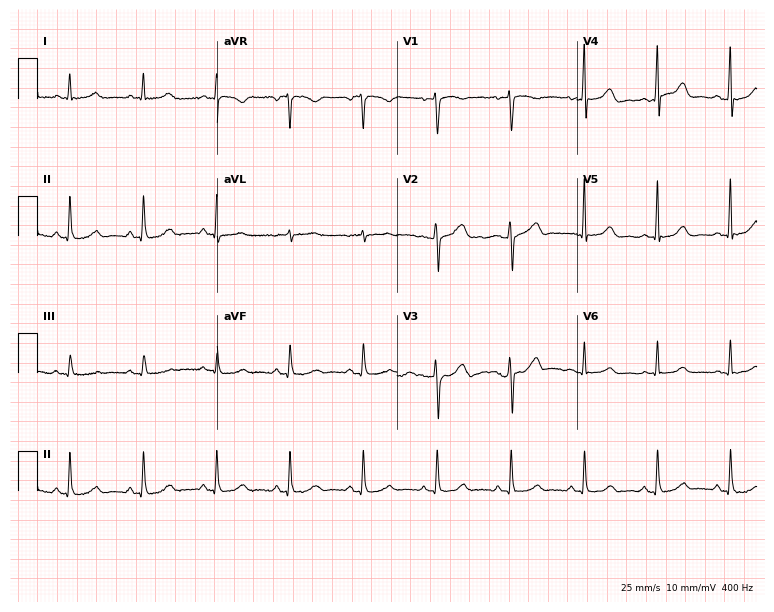
Resting 12-lead electrocardiogram (7.3-second recording at 400 Hz). Patient: a 52-year-old female. Read as a normal ECG.